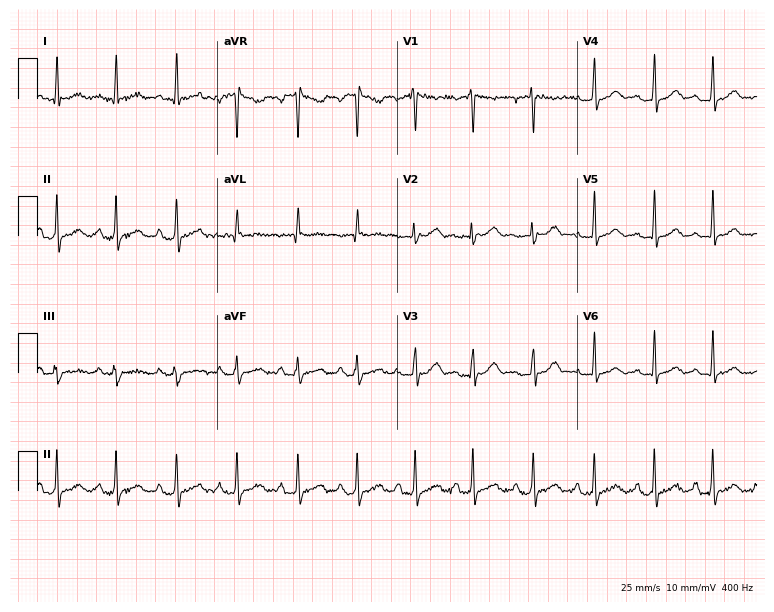
12-lead ECG from a 24-year-old female patient. No first-degree AV block, right bundle branch block, left bundle branch block, sinus bradycardia, atrial fibrillation or sinus tachycardia recorded for this tracing.